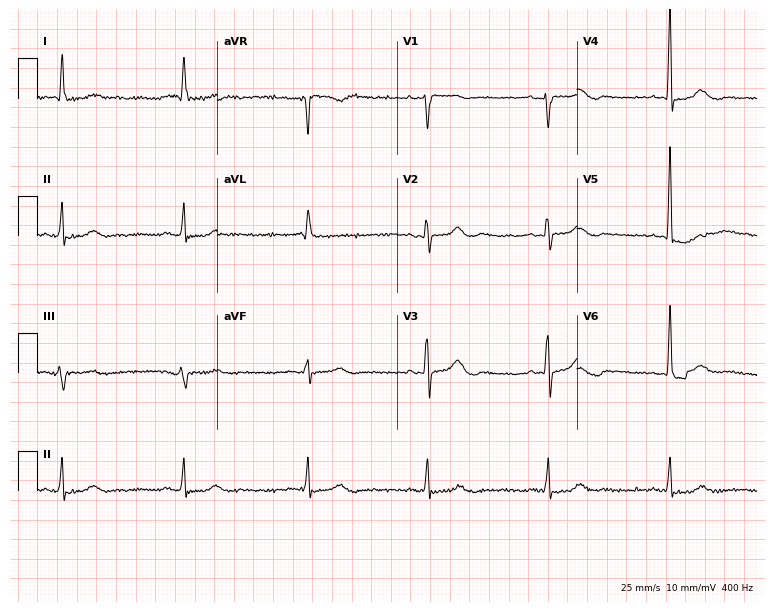
Standard 12-lead ECG recorded from an 84-year-old female (7.3-second recording at 400 Hz). The tracing shows sinus bradycardia (a sinus rate of 50 beats per minute or less).